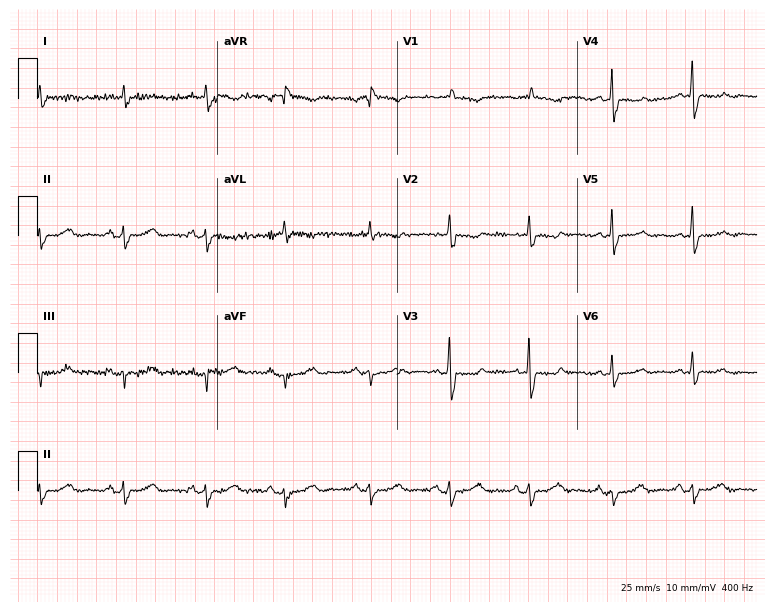
ECG (7.3-second recording at 400 Hz) — a 72-year-old female. Screened for six findings — first-degree AV block, right bundle branch block, left bundle branch block, sinus bradycardia, atrial fibrillation, sinus tachycardia — none is recorded. Other findings, if any, are not listed.